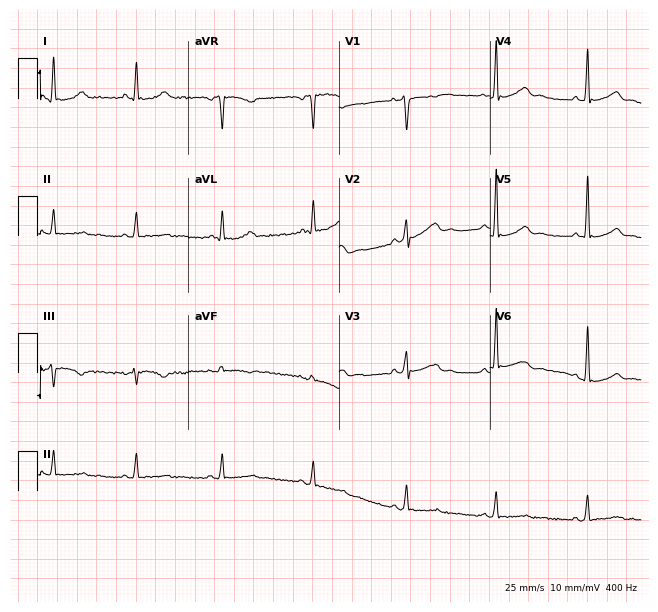
12-lead ECG from a female patient, 44 years old (6.2-second recording at 400 Hz). No first-degree AV block, right bundle branch block, left bundle branch block, sinus bradycardia, atrial fibrillation or sinus tachycardia recorded for this tracing.